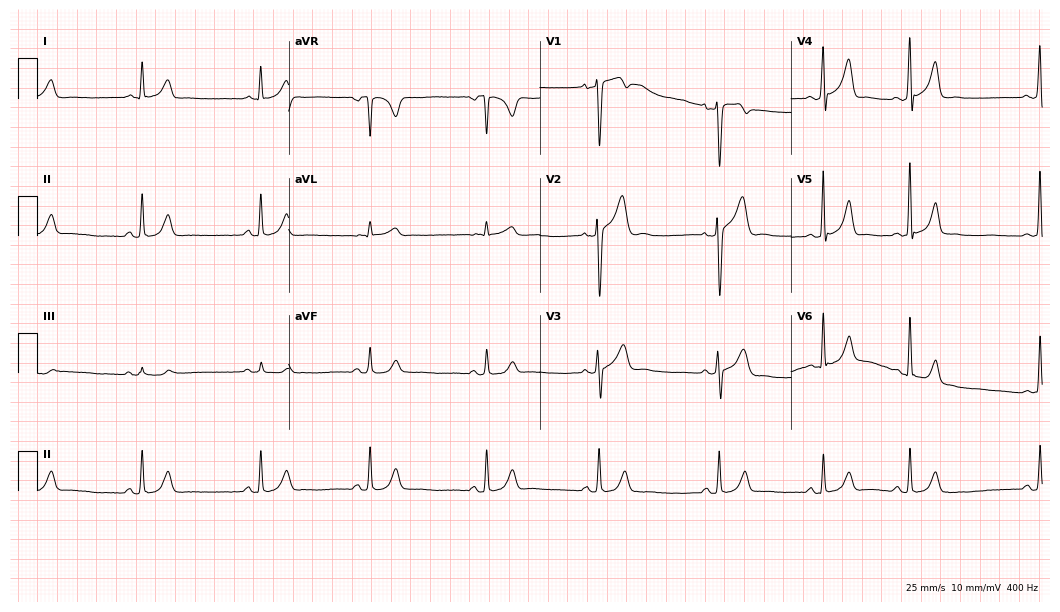
Electrocardiogram, a male, 26 years old. Overall reading on record: normal ECG.